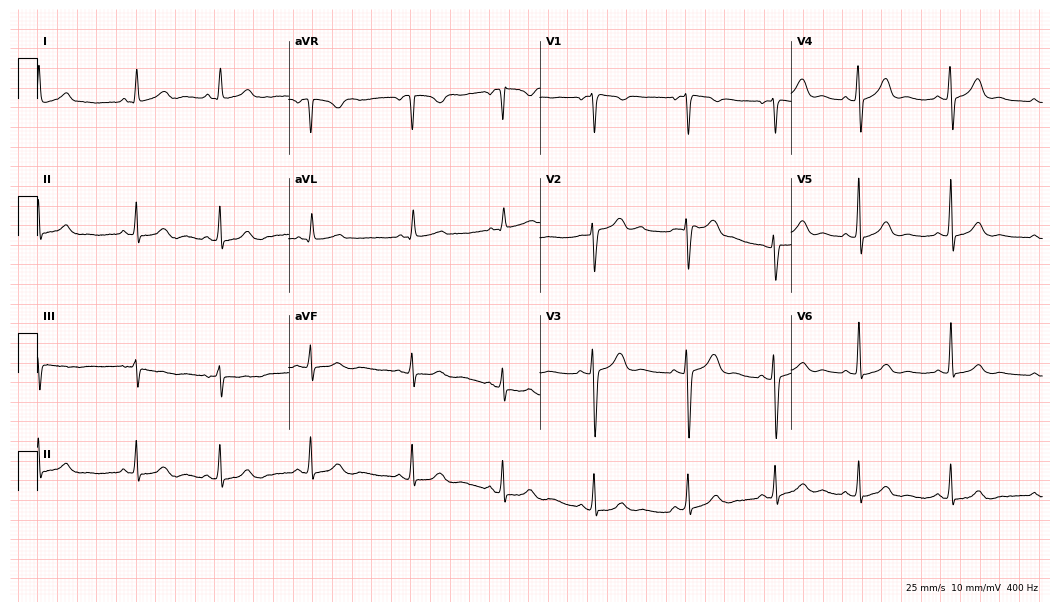
Resting 12-lead electrocardiogram (10.2-second recording at 400 Hz). Patient: a female, 32 years old. Read as a normal ECG.